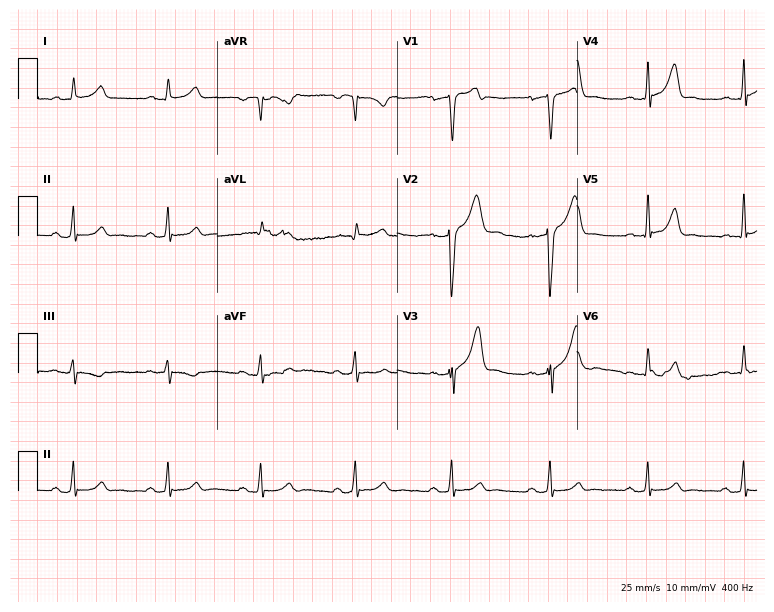
Resting 12-lead electrocardiogram. Patient: a man, 55 years old. None of these six findings is recorded: first-degree AV block, right bundle branch block, left bundle branch block, sinus bradycardia, atrial fibrillation, sinus tachycardia. Other findings, if any, are not listed.